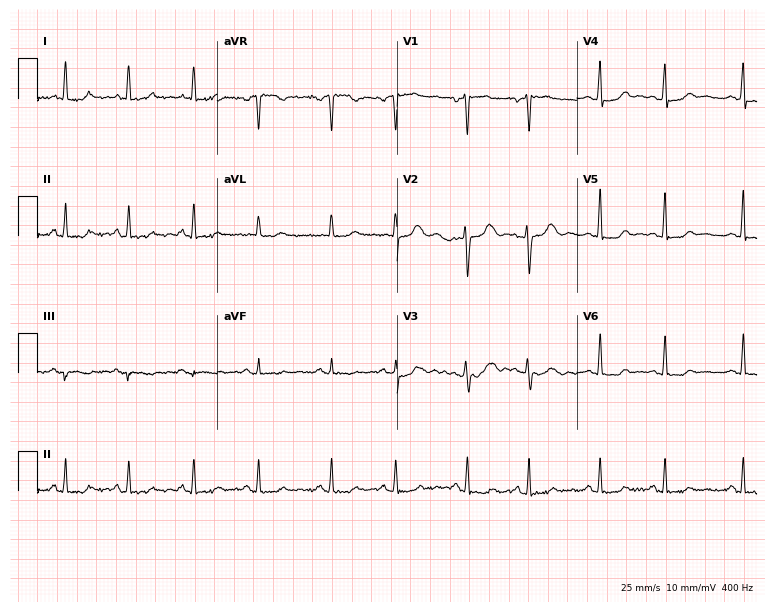
ECG (7.3-second recording at 400 Hz) — a female patient, 45 years old. Screened for six findings — first-degree AV block, right bundle branch block, left bundle branch block, sinus bradycardia, atrial fibrillation, sinus tachycardia — none is recorded.